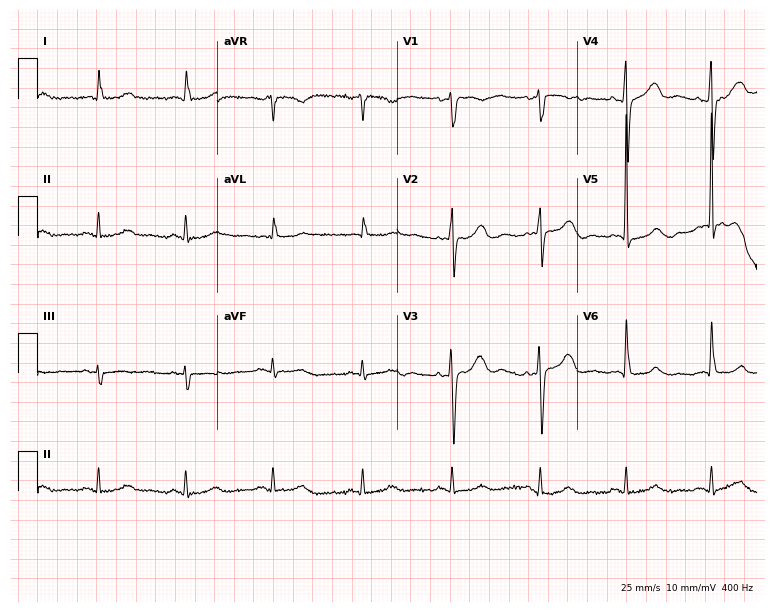
Standard 12-lead ECG recorded from a male patient, 74 years old (7.3-second recording at 400 Hz). None of these six findings is recorded: first-degree AV block, right bundle branch block, left bundle branch block, sinus bradycardia, atrial fibrillation, sinus tachycardia.